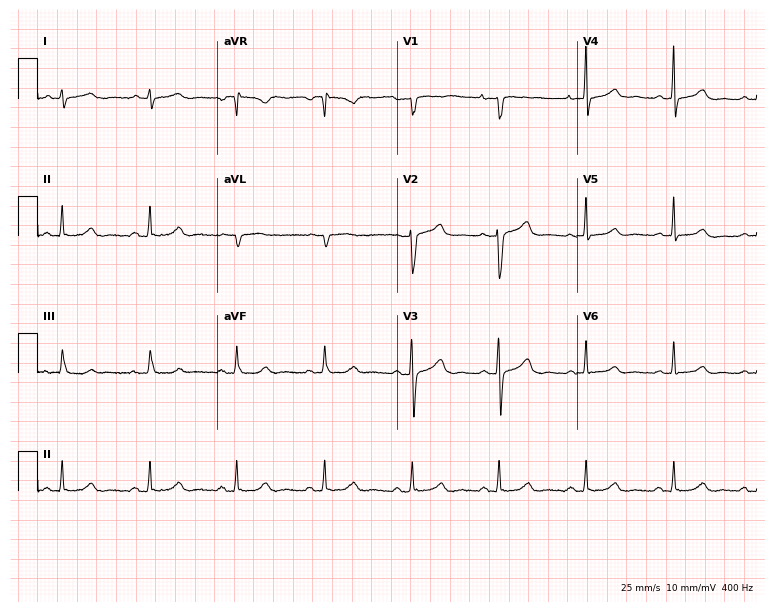
12-lead ECG (7.3-second recording at 400 Hz) from a 40-year-old female. Screened for six findings — first-degree AV block, right bundle branch block, left bundle branch block, sinus bradycardia, atrial fibrillation, sinus tachycardia — none is recorded.